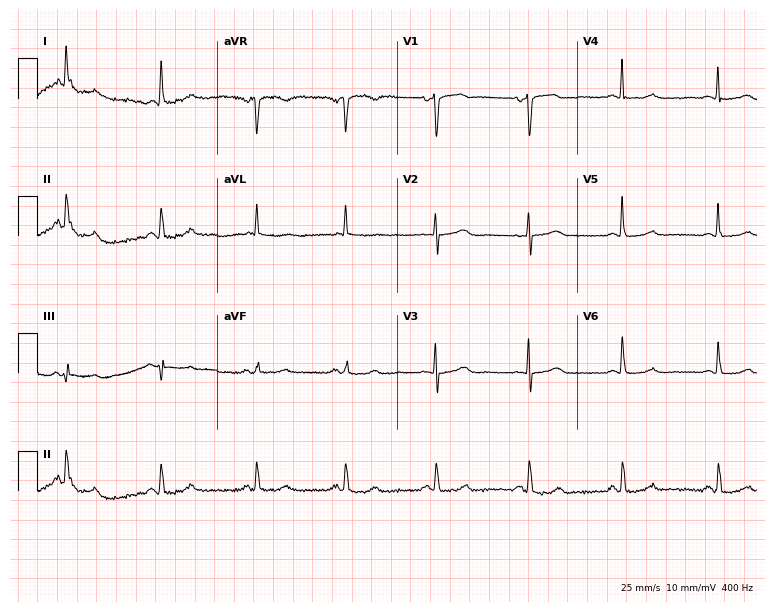
12-lead ECG (7.3-second recording at 400 Hz) from a 74-year-old female patient. Labelled as a normal ECG.